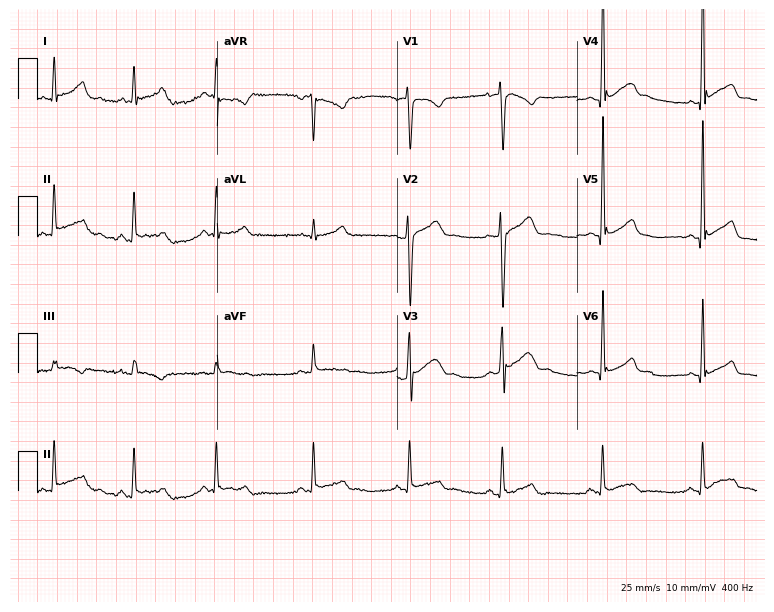
12-lead ECG (7.3-second recording at 400 Hz) from a 24-year-old male patient. Labelled as a normal ECG.